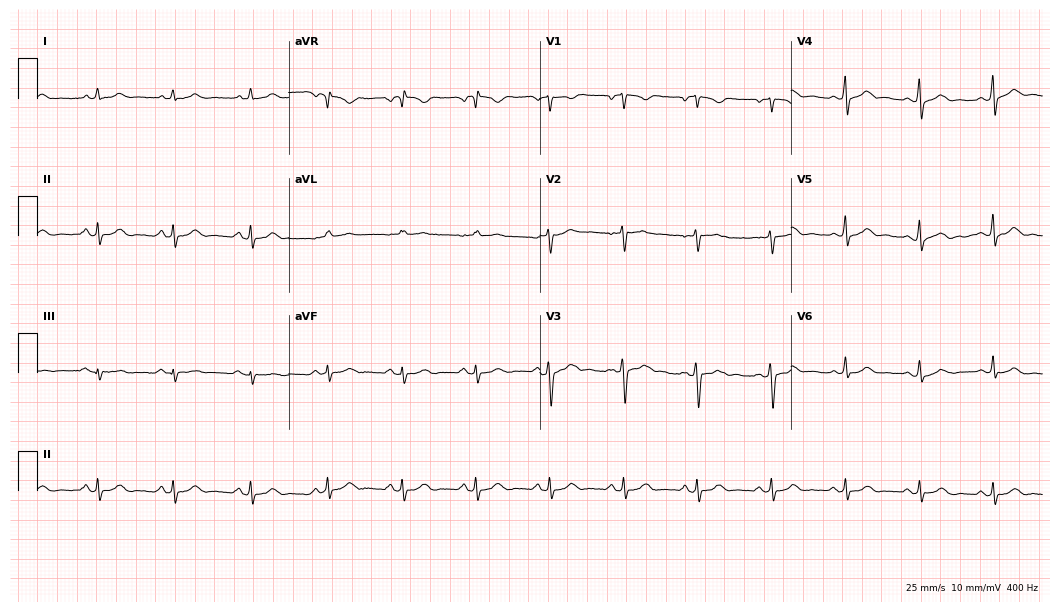
Standard 12-lead ECG recorded from a 42-year-old female (10.2-second recording at 400 Hz). Read as a normal ECG.